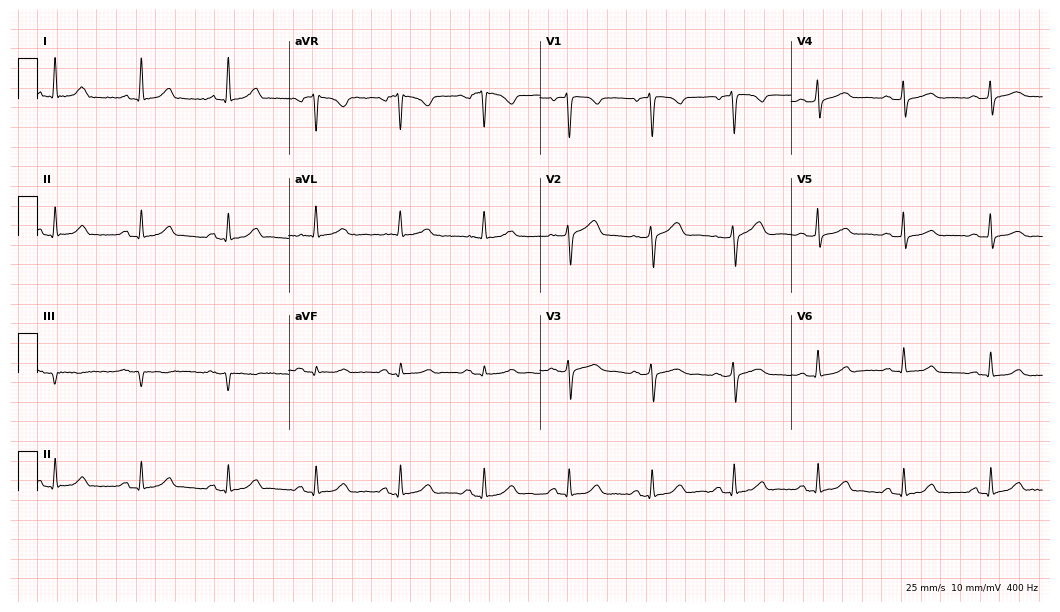
Electrocardiogram, a female patient, 53 years old. Of the six screened findings (first-degree AV block, right bundle branch block (RBBB), left bundle branch block (LBBB), sinus bradycardia, atrial fibrillation (AF), sinus tachycardia), none is recorded. Only these six findings were labelled.